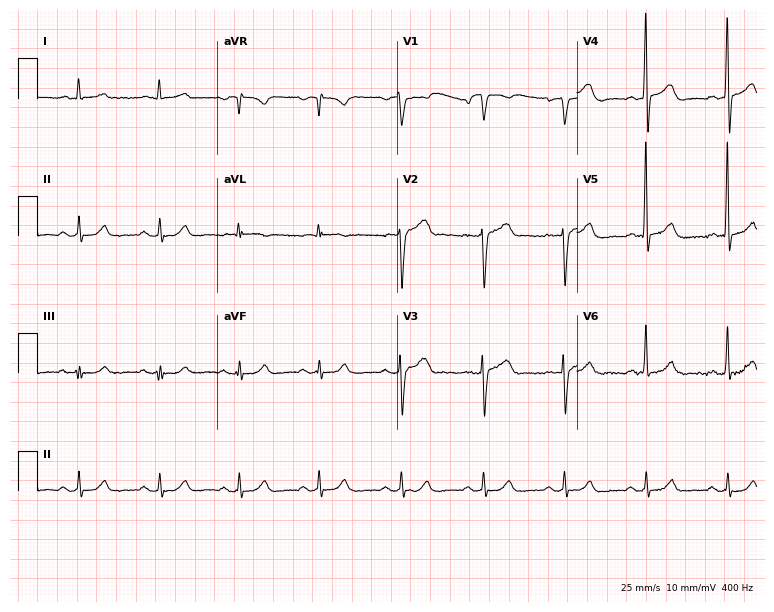
Standard 12-lead ECG recorded from a male, 53 years old (7.3-second recording at 400 Hz). None of these six findings is recorded: first-degree AV block, right bundle branch block, left bundle branch block, sinus bradycardia, atrial fibrillation, sinus tachycardia.